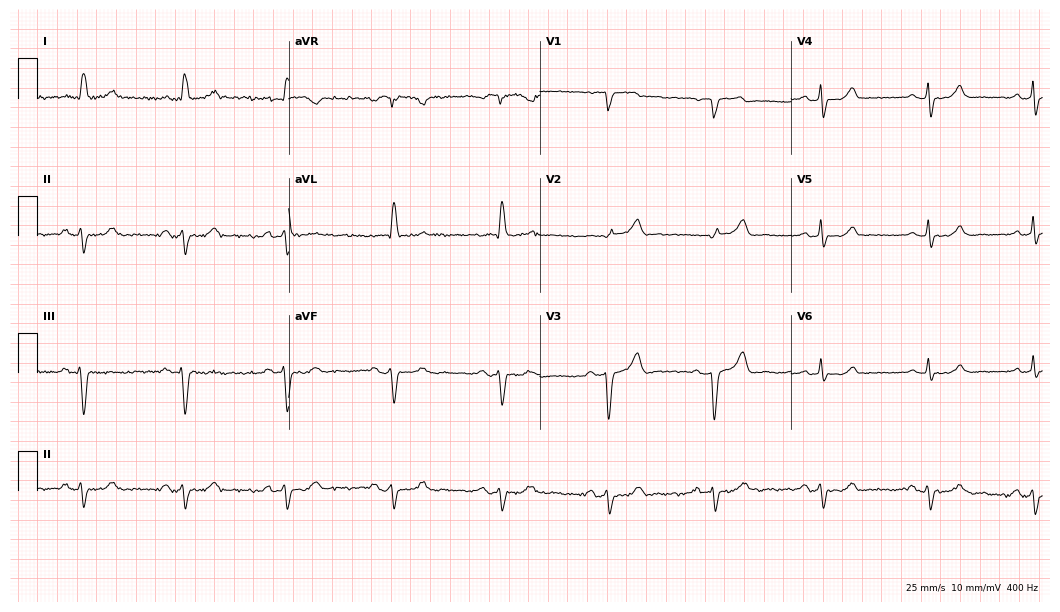
ECG — a female patient, 72 years old. Screened for six findings — first-degree AV block, right bundle branch block, left bundle branch block, sinus bradycardia, atrial fibrillation, sinus tachycardia — none is recorded. Only these six findings were labelled.